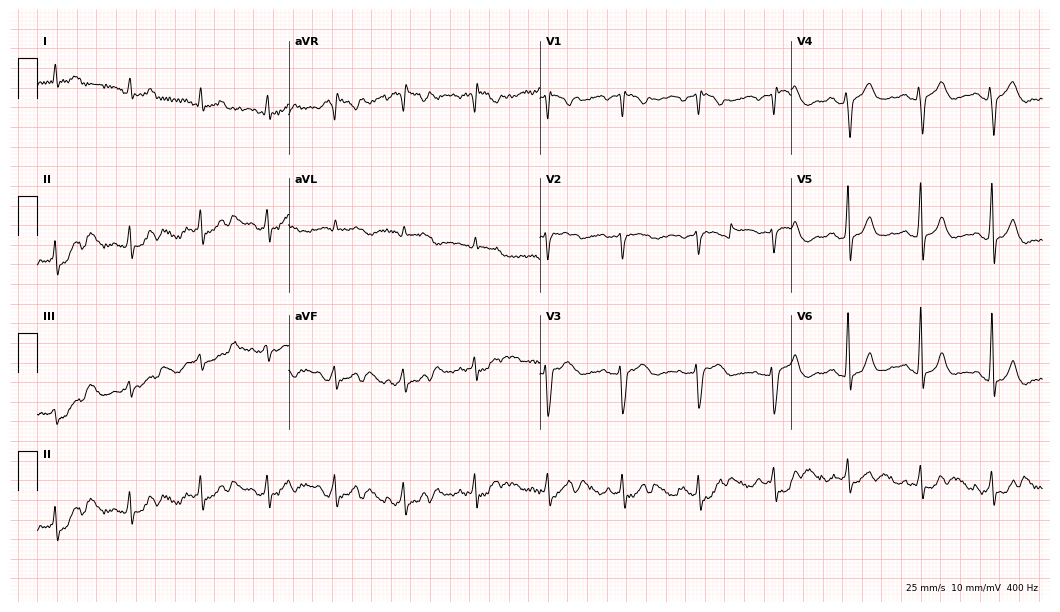
12-lead ECG from a male, 60 years old. Labelled as a normal ECG.